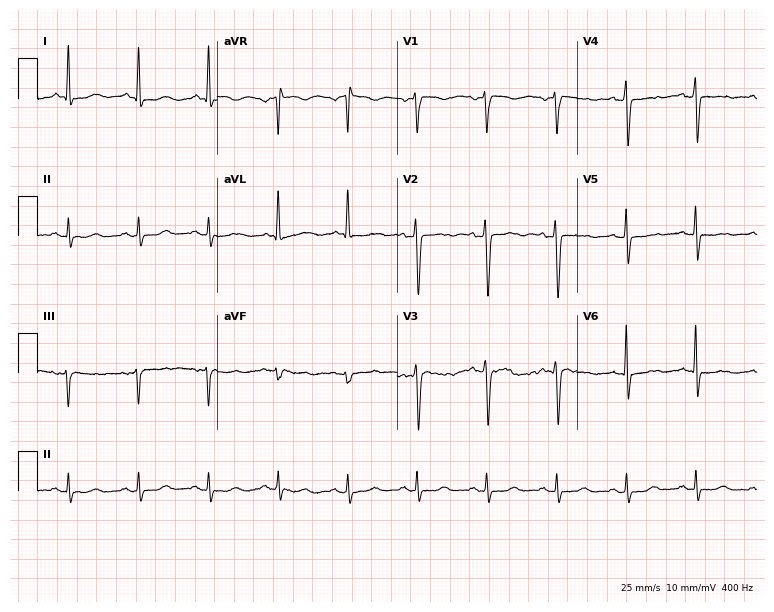
Resting 12-lead electrocardiogram (7.3-second recording at 400 Hz). Patient: a 71-year-old woman. None of these six findings is recorded: first-degree AV block, right bundle branch block, left bundle branch block, sinus bradycardia, atrial fibrillation, sinus tachycardia.